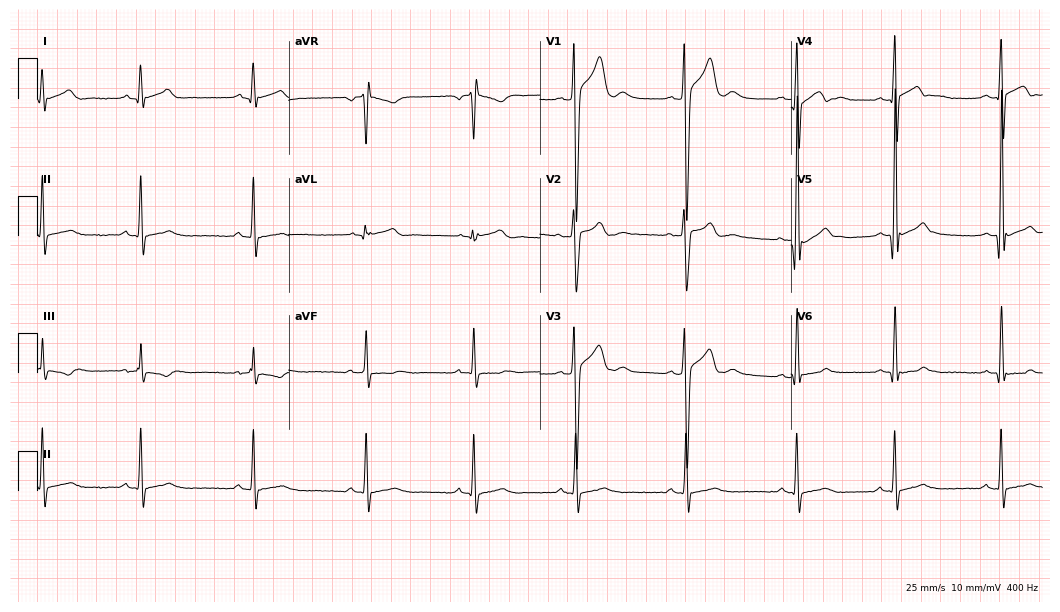
12-lead ECG from a male patient, 18 years old (10.2-second recording at 400 Hz). No first-degree AV block, right bundle branch block (RBBB), left bundle branch block (LBBB), sinus bradycardia, atrial fibrillation (AF) or sinus tachycardia recorded for this tracing.